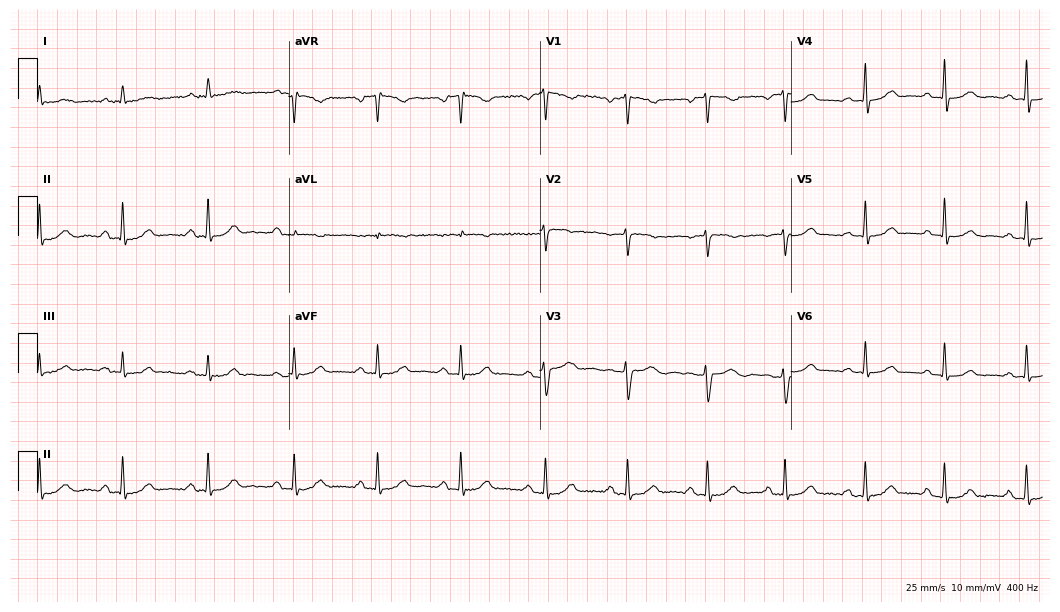
12-lead ECG from a 62-year-old female patient (10.2-second recording at 400 Hz). Recorded interpretation: within normal limits.